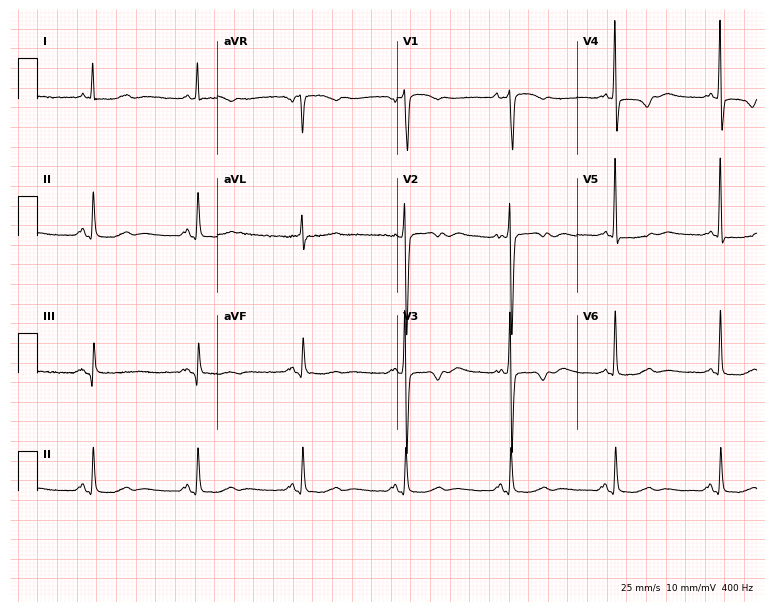
ECG (7.3-second recording at 400 Hz) — a female, 77 years old. Screened for six findings — first-degree AV block, right bundle branch block, left bundle branch block, sinus bradycardia, atrial fibrillation, sinus tachycardia — none is recorded. Findings outside these six are not listed.